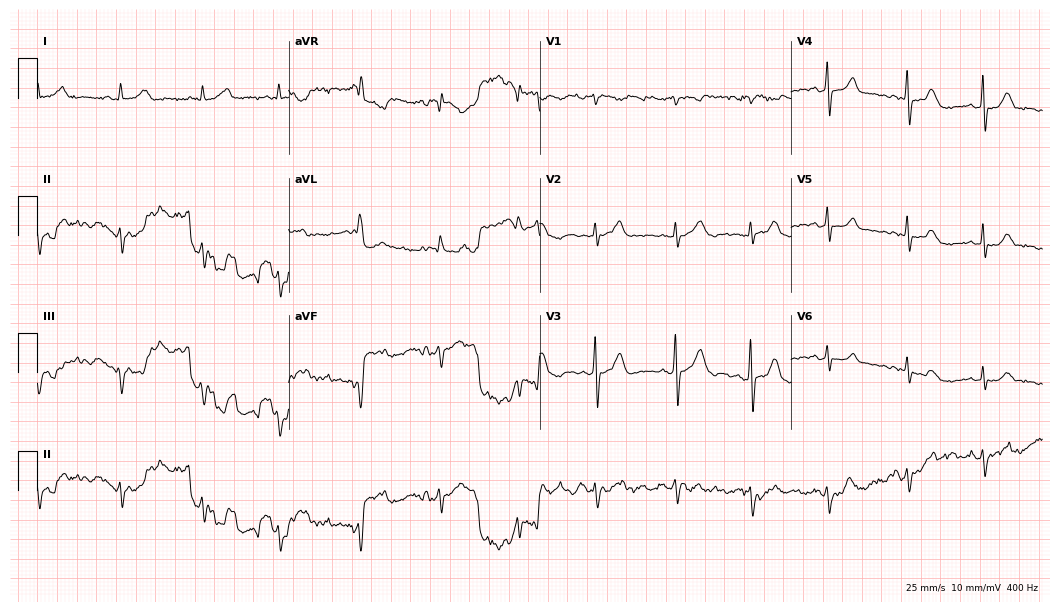
12-lead ECG from a 40-year-old male. No first-degree AV block, right bundle branch block (RBBB), left bundle branch block (LBBB), sinus bradycardia, atrial fibrillation (AF) or sinus tachycardia recorded for this tracing.